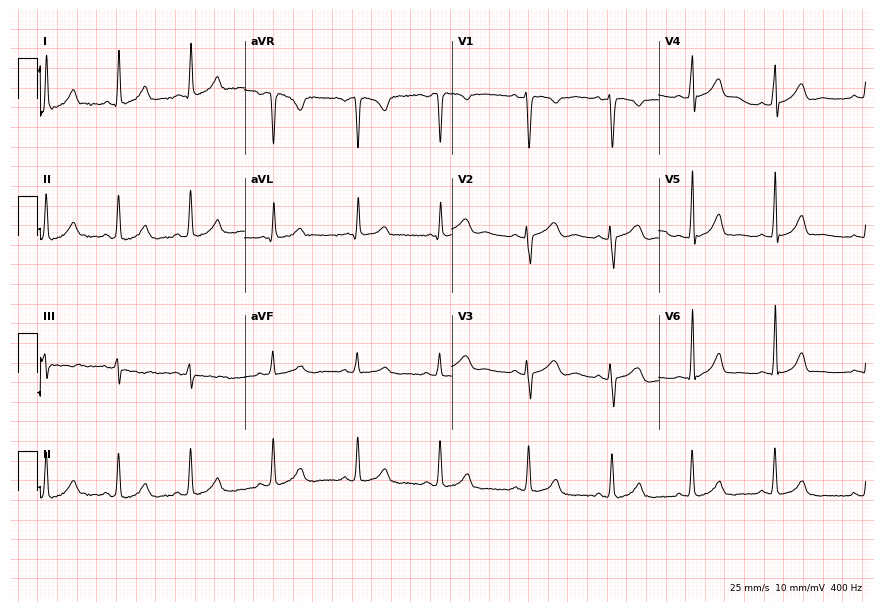
Standard 12-lead ECG recorded from a 23-year-old female patient (8.4-second recording at 400 Hz). None of these six findings is recorded: first-degree AV block, right bundle branch block (RBBB), left bundle branch block (LBBB), sinus bradycardia, atrial fibrillation (AF), sinus tachycardia. Findings outside these six are not listed.